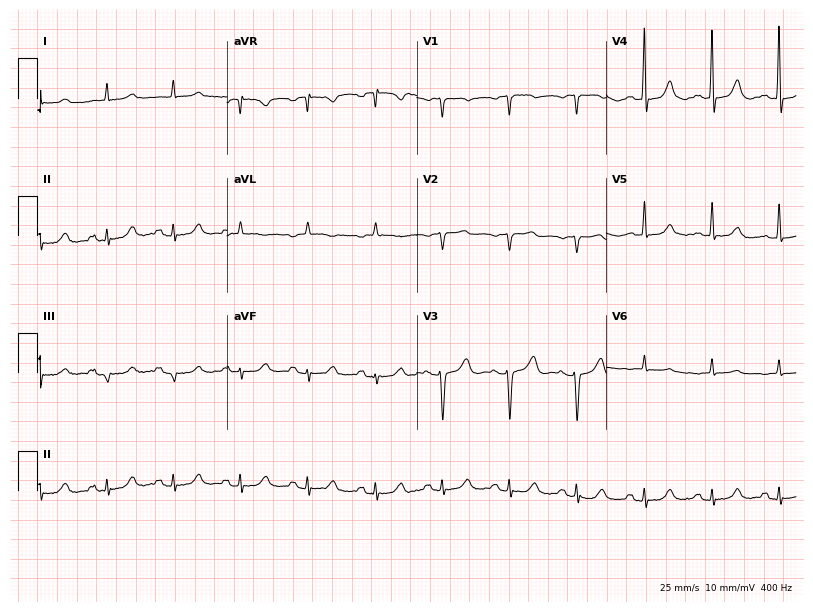
Standard 12-lead ECG recorded from a woman, 84 years old. None of these six findings is recorded: first-degree AV block, right bundle branch block, left bundle branch block, sinus bradycardia, atrial fibrillation, sinus tachycardia. Other findings, if any, are not listed.